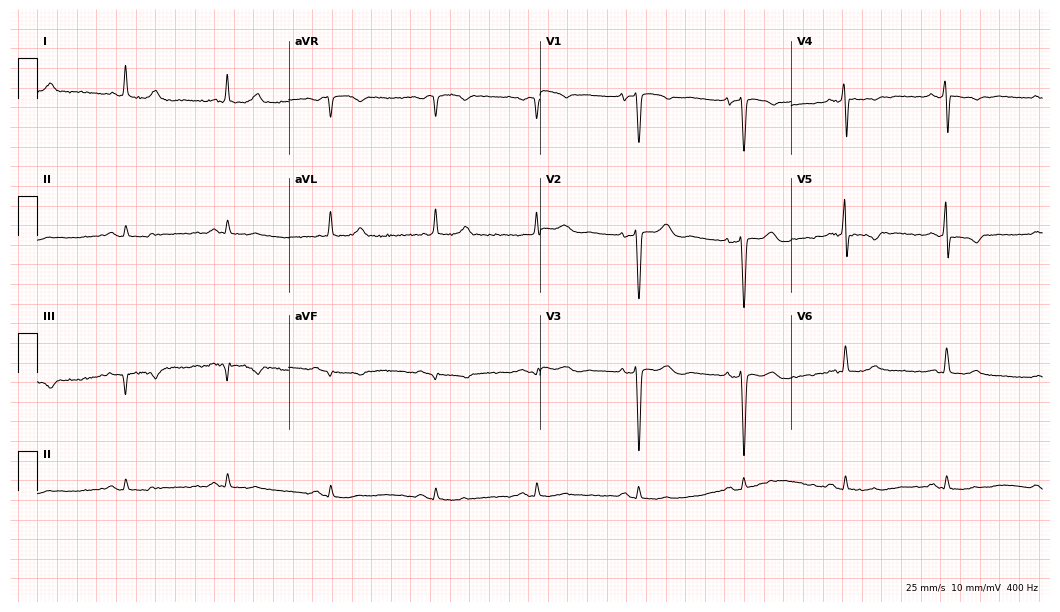
ECG (10.2-second recording at 400 Hz) — a man, 81 years old. Screened for six findings — first-degree AV block, right bundle branch block, left bundle branch block, sinus bradycardia, atrial fibrillation, sinus tachycardia — none is recorded. Only these six findings were labelled.